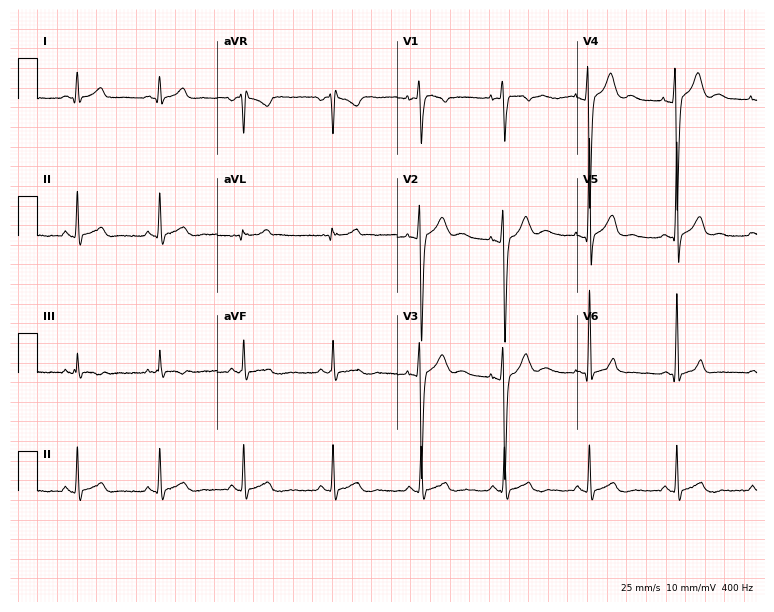
Standard 12-lead ECG recorded from a 26-year-old man. None of these six findings is recorded: first-degree AV block, right bundle branch block, left bundle branch block, sinus bradycardia, atrial fibrillation, sinus tachycardia. Findings outside these six are not listed.